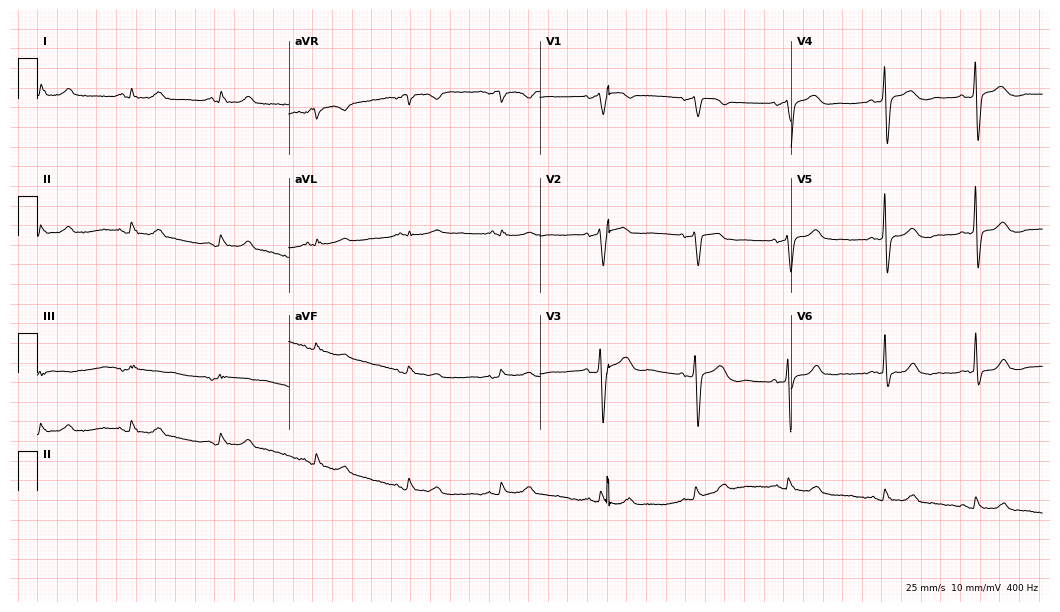
Standard 12-lead ECG recorded from a 57-year-old female patient. None of these six findings is recorded: first-degree AV block, right bundle branch block (RBBB), left bundle branch block (LBBB), sinus bradycardia, atrial fibrillation (AF), sinus tachycardia. Other findings, if any, are not listed.